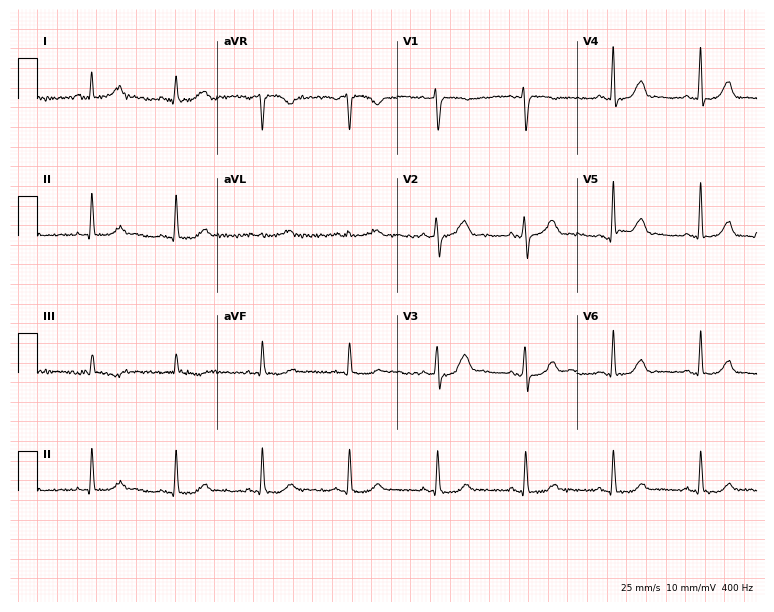
Electrocardiogram, a female, 44 years old. Of the six screened findings (first-degree AV block, right bundle branch block (RBBB), left bundle branch block (LBBB), sinus bradycardia, atrial fibrillation (AF), sinus tachycardia), none is recorded. Other findings, if any, are not listed.